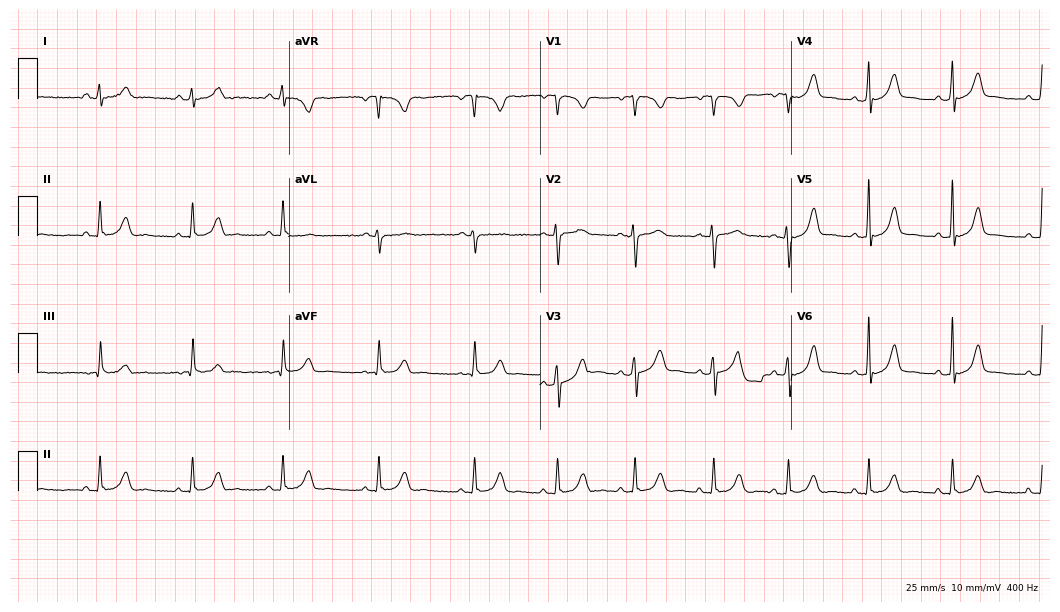
12-lead ECG (10.2-second recording at 400 Hz) from a 19-year-old woman. Labelled as a normal ECG.